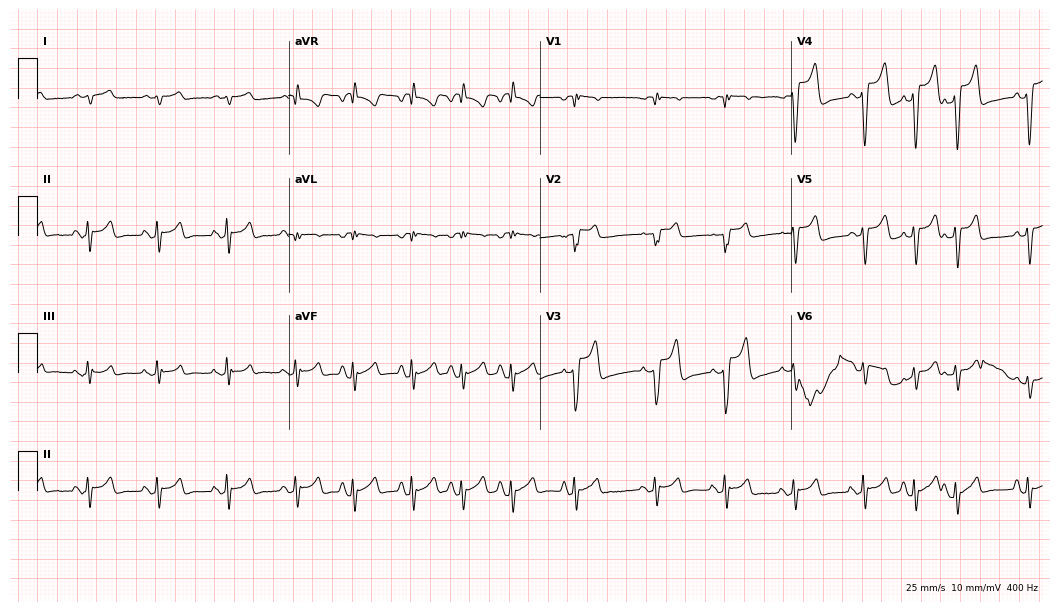
12-lead ECG from a 77-year-old male. No first-degree AV block, right bundle branch block, left bundle branch block, sinus bradycardia, atrial fibrillation or sinus tachycardia recorded for this tracing. Other findings, if any, are not listed.